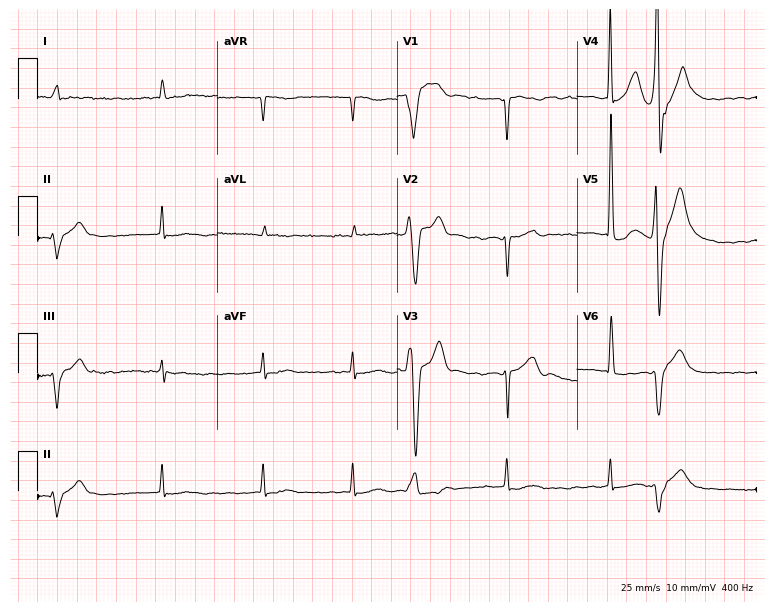
ECG (7.3-second recording at 400 Hz) — a female patient, 71 years old. Screened for six findings — first-degree AV block, right bundle branch block (RBBB), left bundle branch block (LBBB), sinus bradycardia, atrial fibrillation (AF), sinus tachycardia — none is recorded.